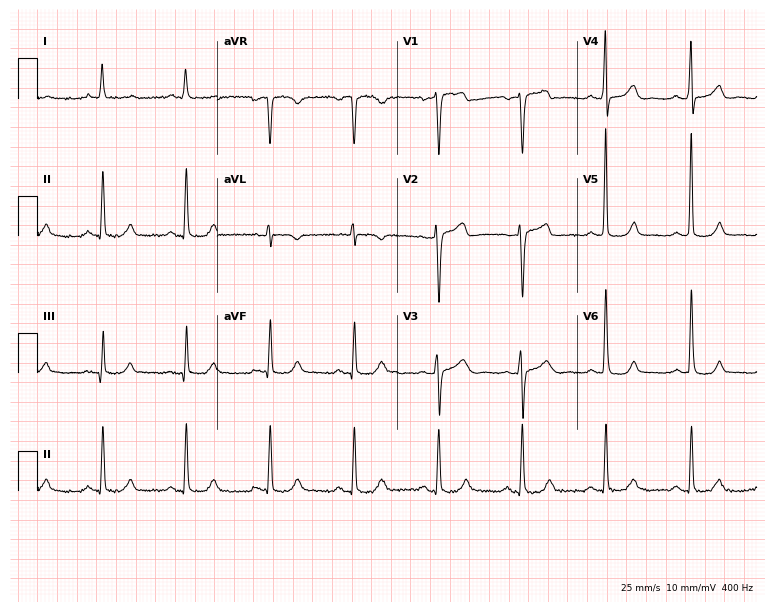
12-lead ECG from a female, 77 years old (7.3-second recording at 400 Hz). Recorded interpretation: within normal limits.